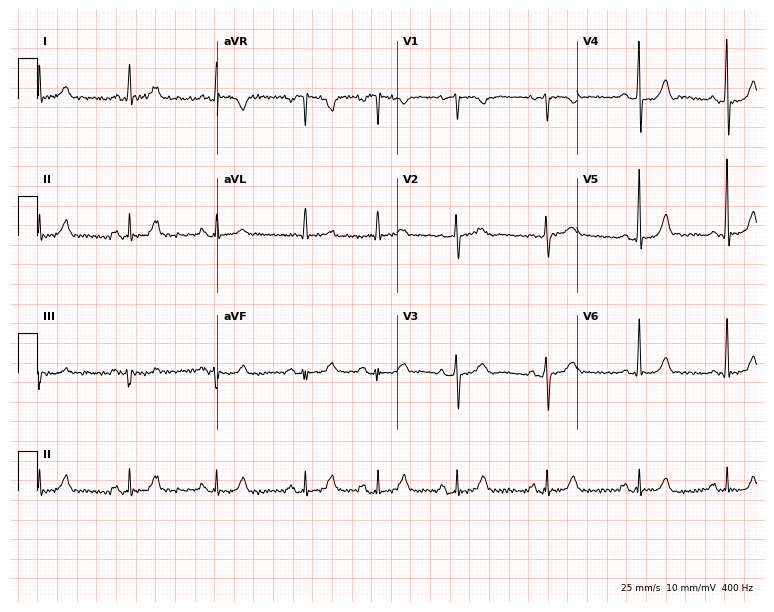
12-lead ECG from a 78-year-old woman. Recorded interpretation: within normal limits.